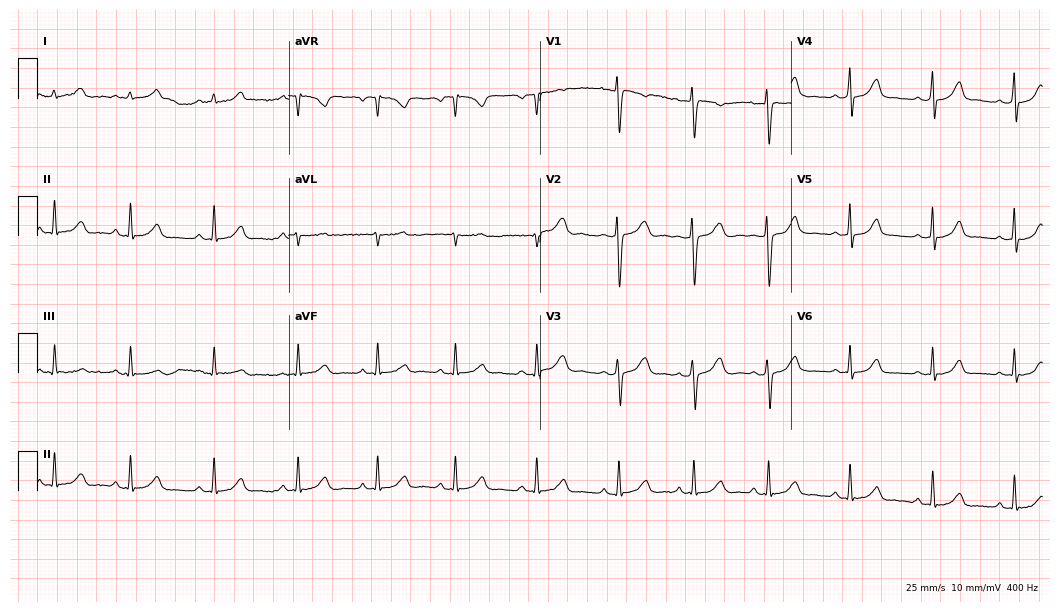
12-lead ECG from a female patient, 17 years old. Recorded interpretation: within normal limits.